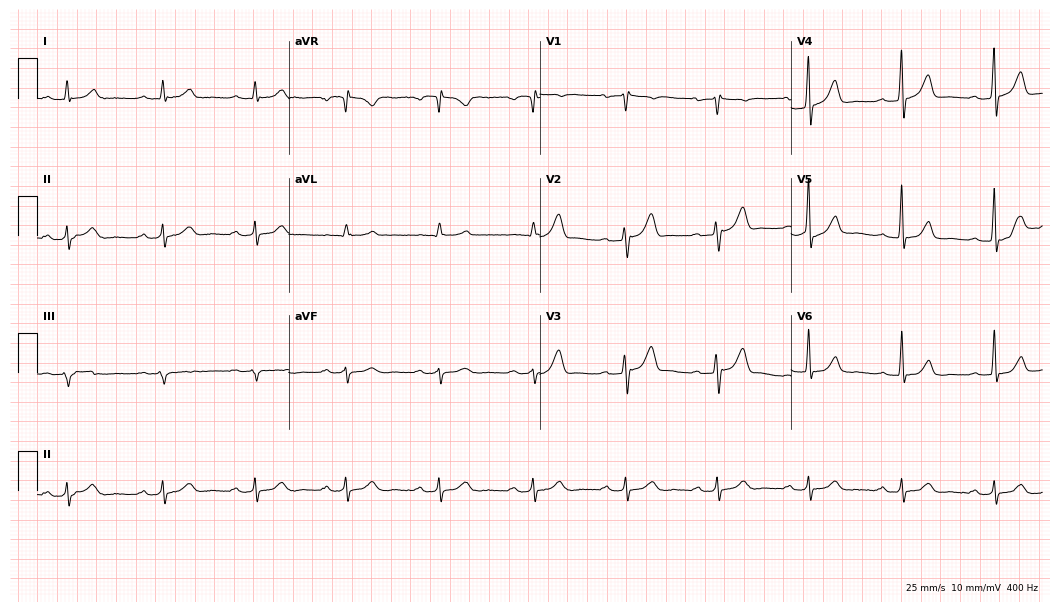
Electrocardiogram, a 41-year-old male patient. Interpretation includes first-degree AV block.